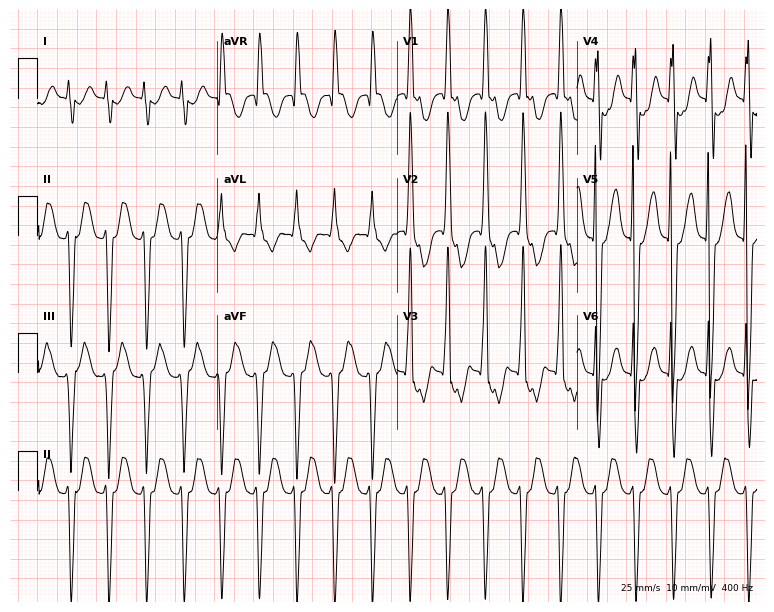
12-lead ECG (7.3-second recording at 400 Hz) from a female patient, 18 years old. Screened for six findings — first-degree AV block, right bundle branch block (RBBB), left bundle branch block (LBBB), sinus bradycardia, atrial fibrillation (AF), sinus tachycardia — none is recorded.